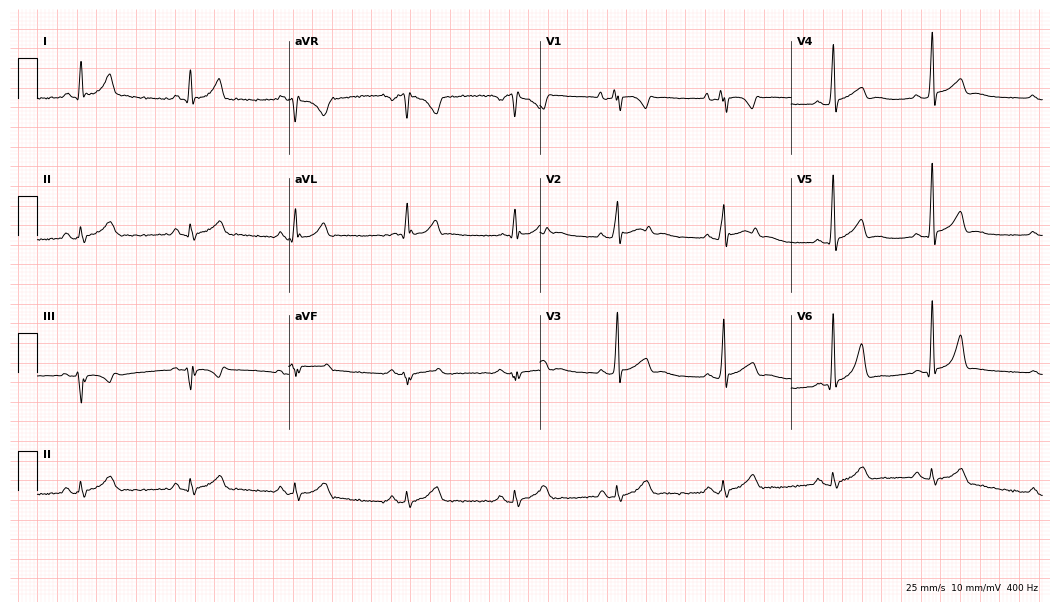
Standard 12-lead ECG recorded from a 33-year-old male. None of these six findings is recorded: first-degree AV block, right bundle branch block, left bundle branch block, sinus bradycardia, atrial fibrillation, sinus tachycardia. Other findings, if any, are not listed.